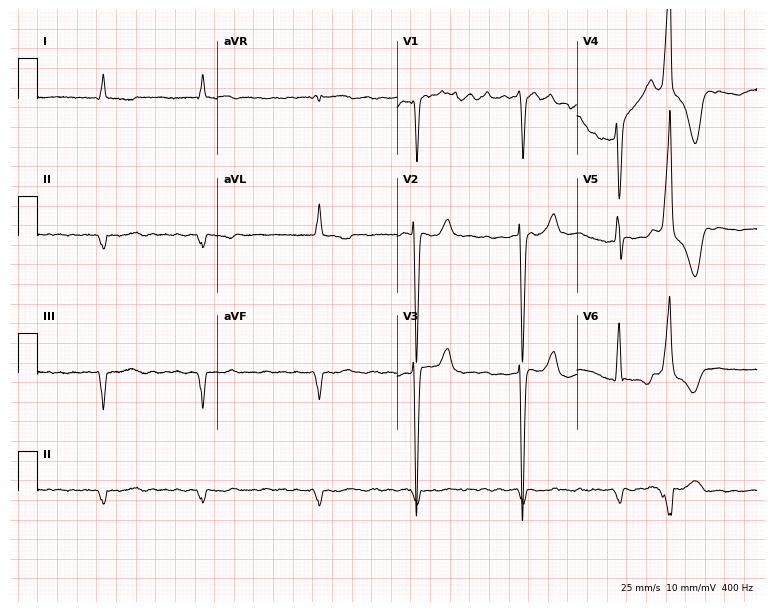
Resting 12-lead electrocardiogram. Patient: a 75-year-old male. The tracing shows atrial fibrillation.